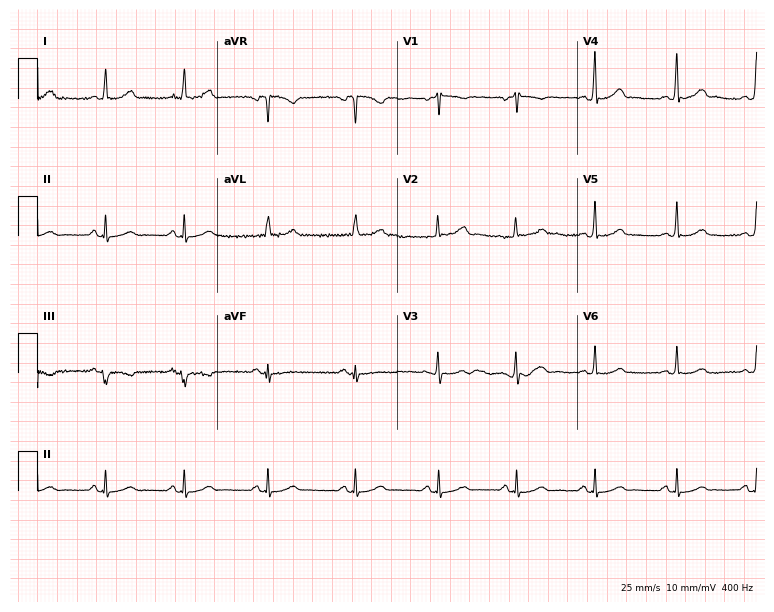
Electrocardiogram (7.3-second recording at 400 Hz), a female patient, 46 years old. Overall reading on record: normal ECG.